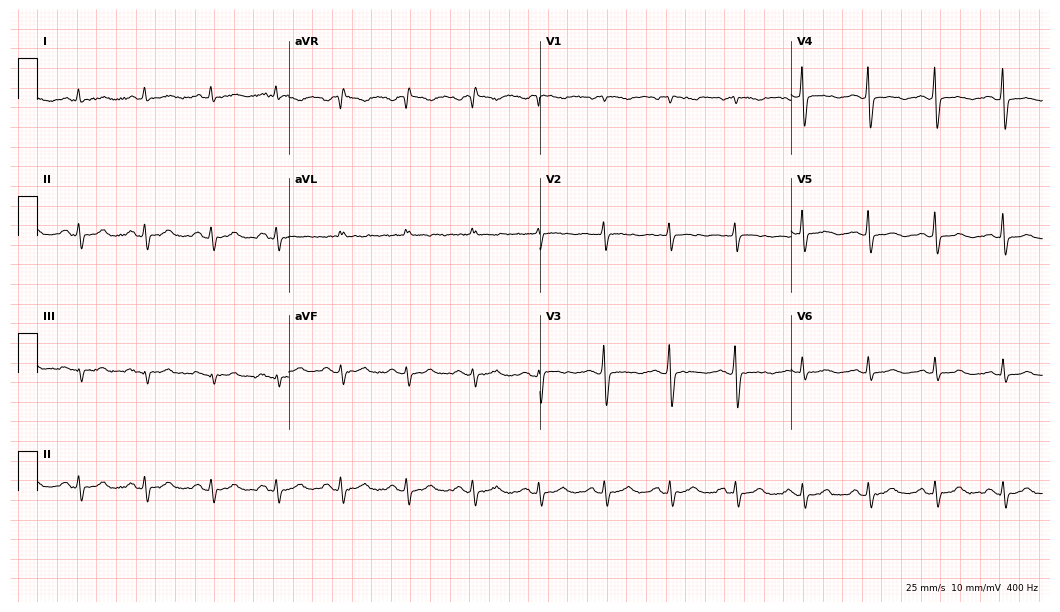
Electrocardiogram (10.2-second recording at 400 Hz), a 58-year-old woman. Of the six screened findings (first-degree AV block, right bundle branch block, left bundle branch block, sinus bradycardia, atrial fibrillation, sinus tachycardia), none is recorded. Only these six findings were labelled.